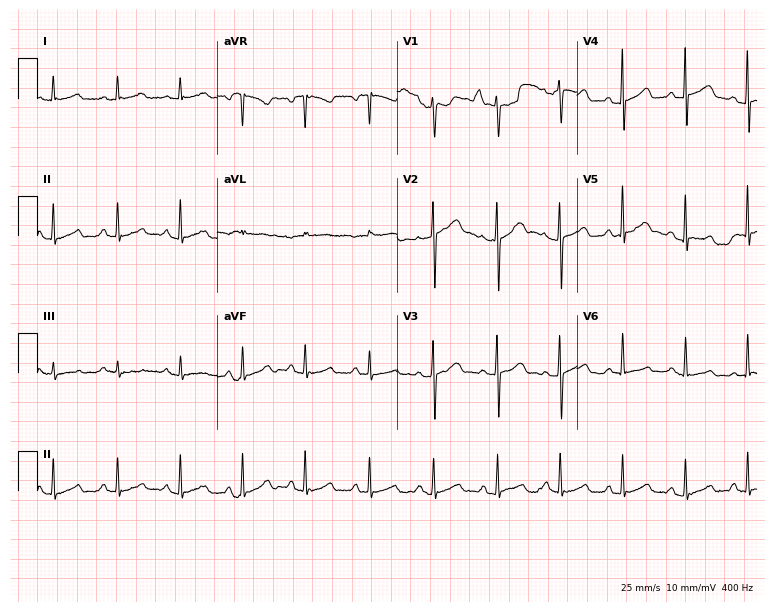
Electrocardiogram, a female patient, 55 years old. Of the six screened findings (first-degree AV block, right bundle branch block (RBBB), left bundle branch block (LBBB), sinus bradycardia, atrial fibrillation (AF), sinus tachycardia), none is recorded. Other findings, if any, are not listed.